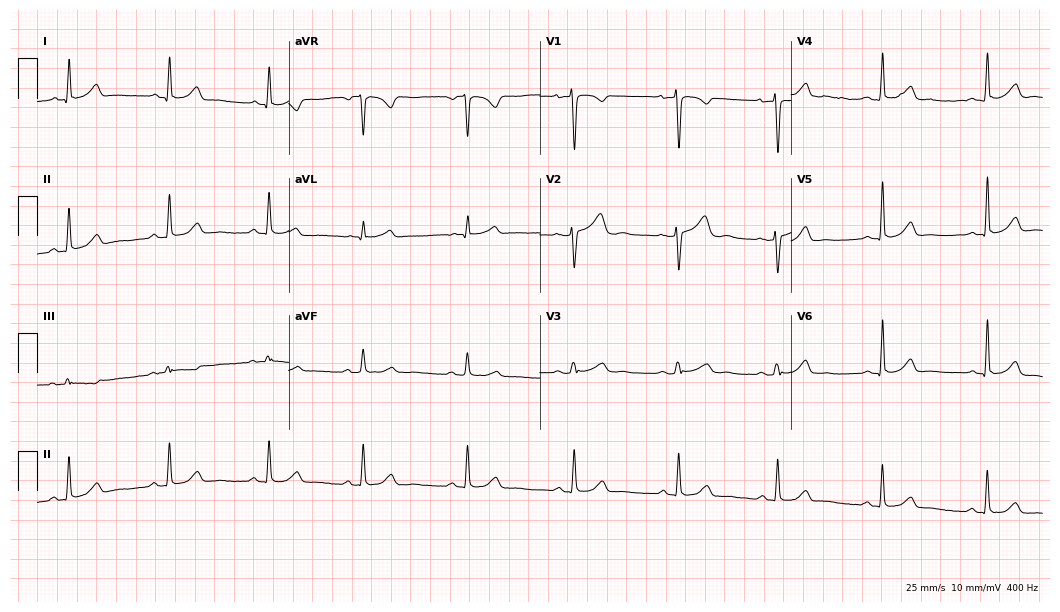
12-lead ECG (10.2-second recording at 400 Hz) from a 39-year-old female. Labelled as a normal ECG.